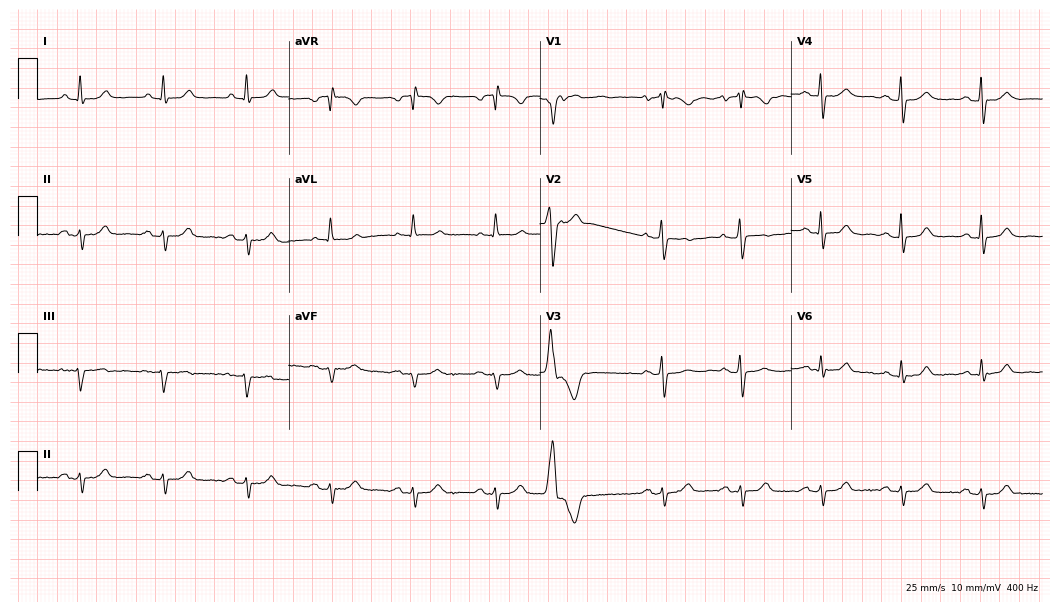
ECG (10.2-second recording at 400 Hz) — a woman, 68 years old. Screened for six findings — first-degree AV block, right bundle branch block, left bundle branch block, sinus bradycardia, atrial fibrillation, sinus tachycardia — none is recorded. Findings outside these six are not listed.